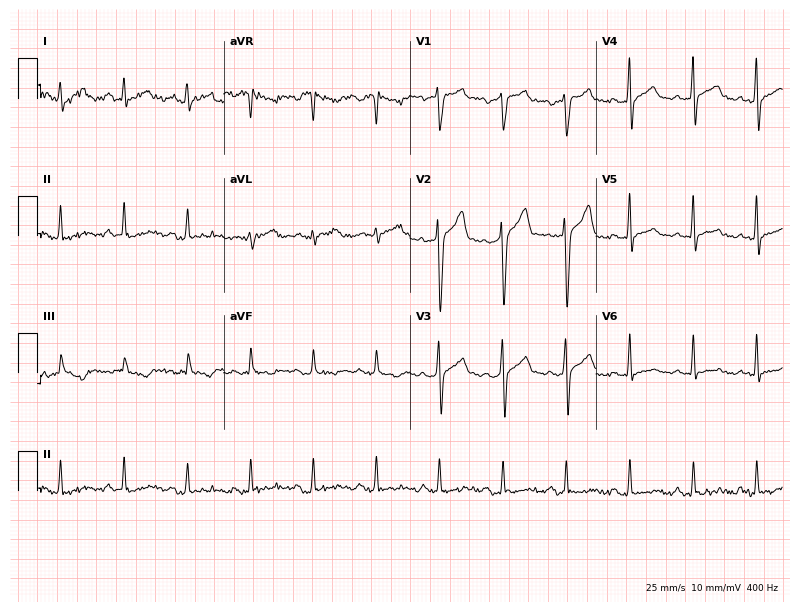
ECG (7.6-second recording at 400 Hz) — a 37-year-old female patient. Screened for six findings — first-degree AV block, right bundle branch block (RBBB), left bundle branch block (LBBB), sinus bradycardia, atrial fibrillation (AF), sinus tachycardia — none is recorded.